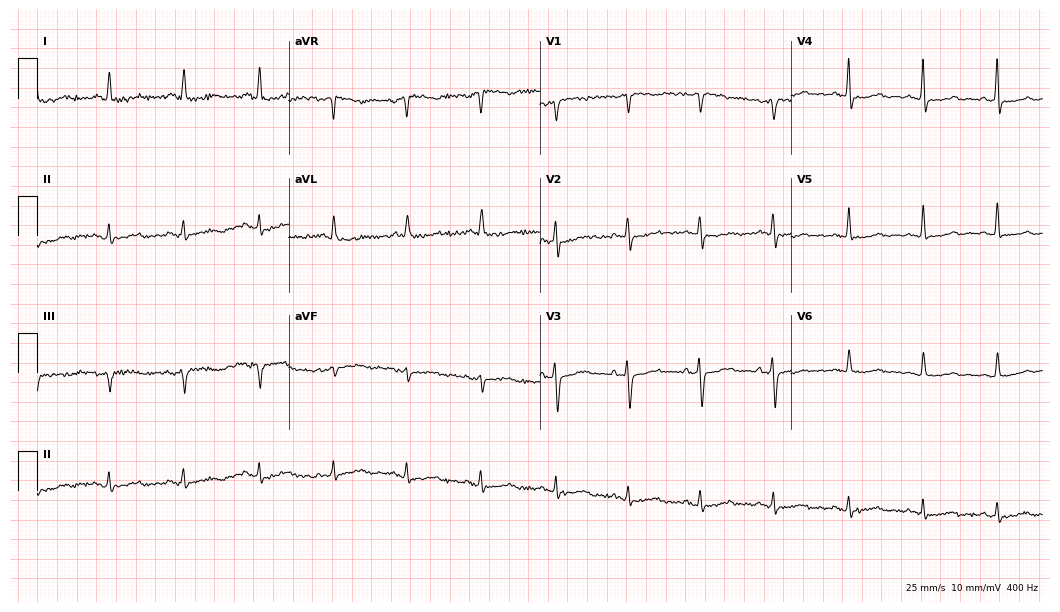
ECG — a female, 55 years old. Screened for six findings — first-degree AV block, right bundle branch block (RBBB), left bundle branch block (LBBB), sinus bradycardia, atrial fibrillation (AF), sinus tachycardia — none is recorded.